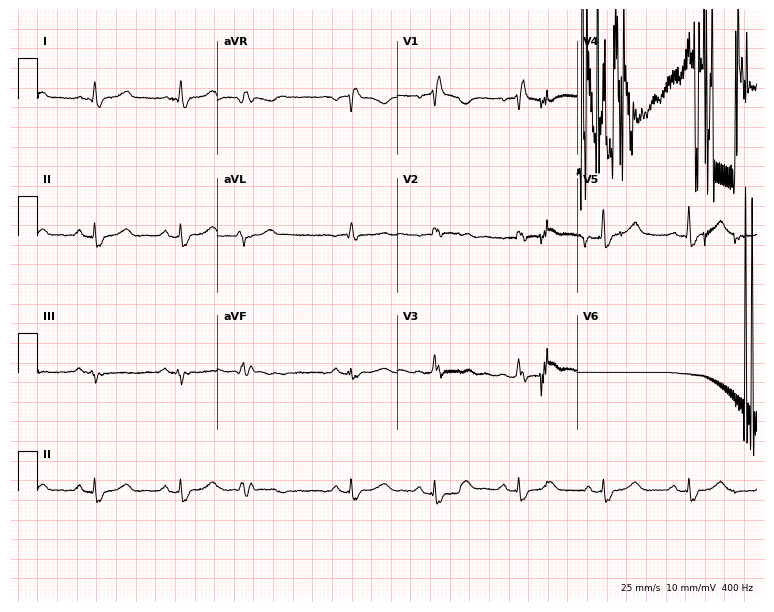
Resting 12-lead electrocardiogram (7.3-second recording at 400 Hz). Patient: a woman, 72 years old. None of these six findings is recorded: first-degree AV block, right bundle branch block, left bundle branch block, sinus bradycardia, atrial fibrillation, sinus tachycardia. Findings outside these six are not listed.